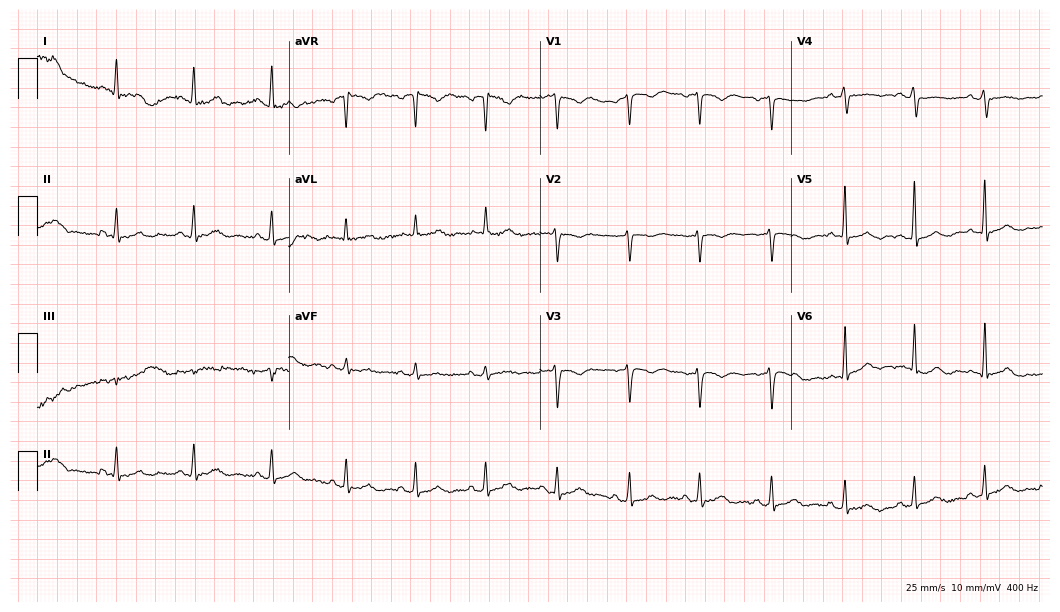
Resting 12-lead electrocardiogram (10.2-second recording at 400 Hz). Patient: a 30-year-old female. Read as a normal ECG.